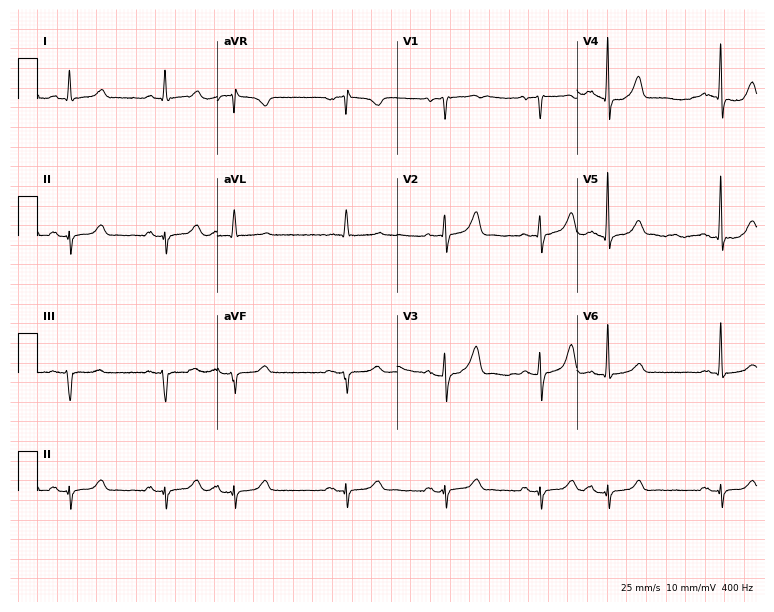
12-lead ECG (7.3-second recording at 400 Hz) from a man, 81 years old. Screened for six findings — first-degree AV block, right bundle branch block, left bundle branch block, sinus bradycardia, atrial fibrillation, sinus tachycardia — none is recorded.